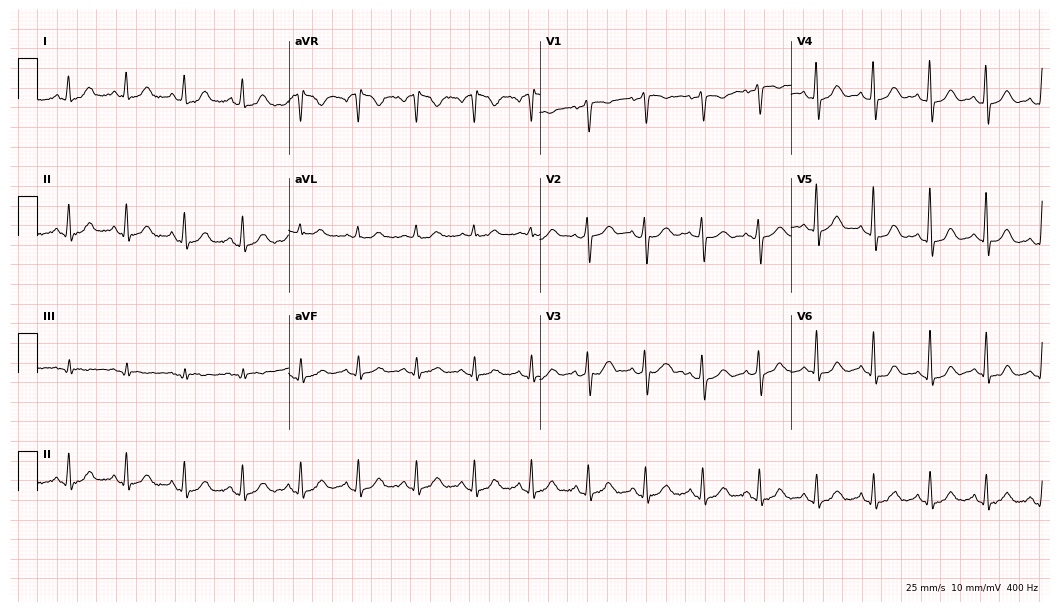
Electrocardiogram, a 56-year-old female patient. Interpretation includes sinus tachycardia (a sinus rate of 100 beats per minute or more).